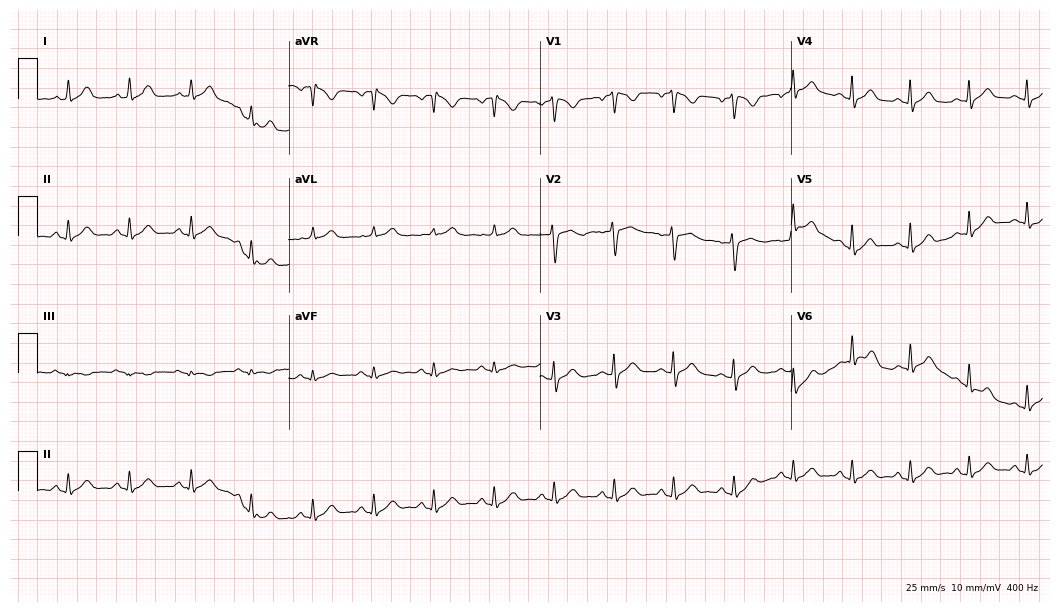
Resting 12-lead electrocardiogram. Patient: a female, 27 years old. Read as a normal ECG.